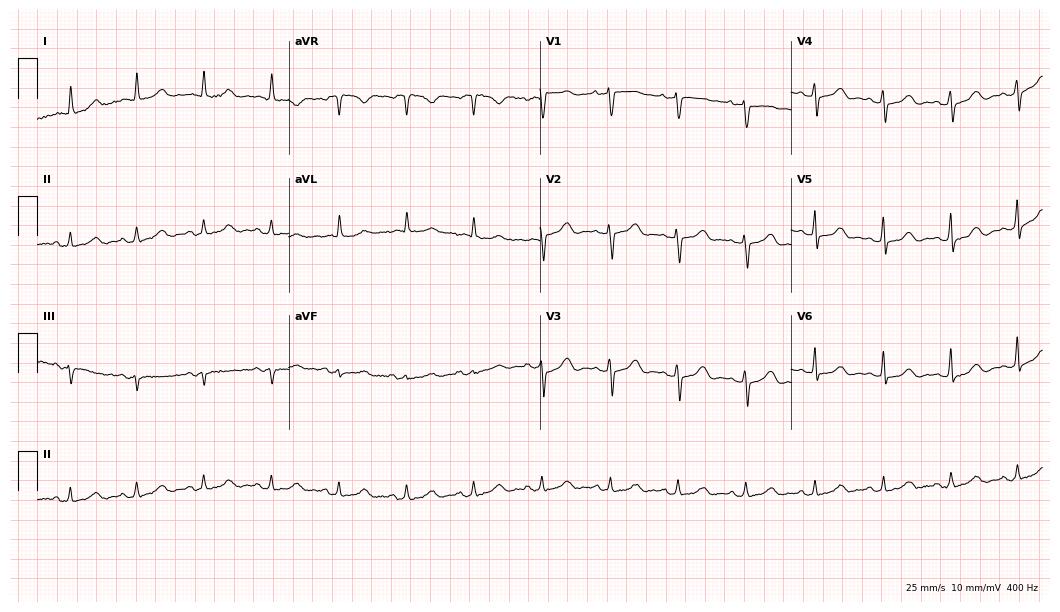
ECG (10.2-second recording at 400 Hz) — a female patient, 83 years old. Labelled as a normal ECG.